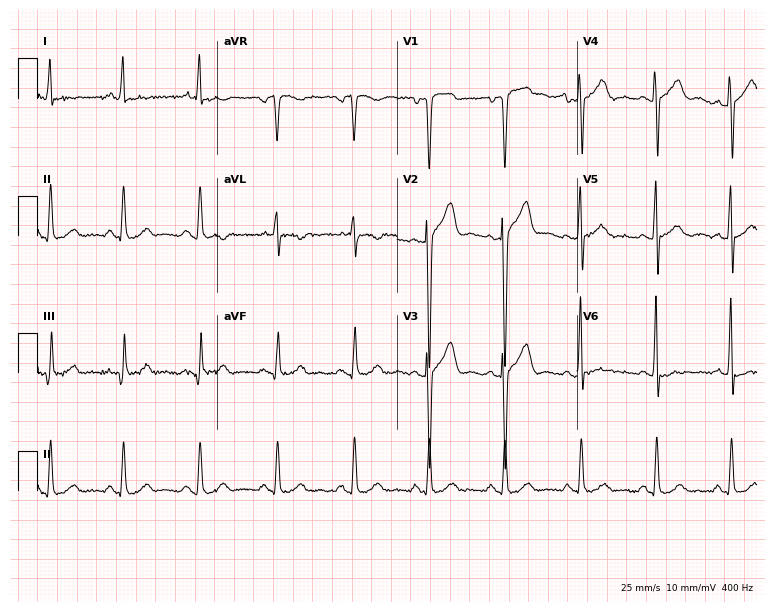
12-lead ECG from a 54-year-old man. Recorded interpretation: within normal limits.